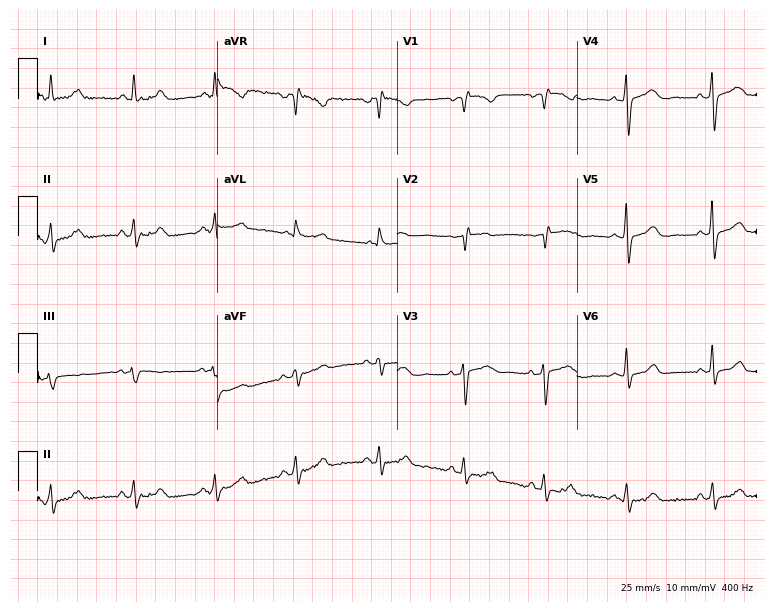
Standard 12-lead ECG recorded from a female, 57 years old (7.3-second recording at 400 Hz). None of these six findings is recorded: first-degree AV block, right bundle branch block, left bundle branch block, sinus bradycardia, atrial fibrillation, sinus tachycardia.